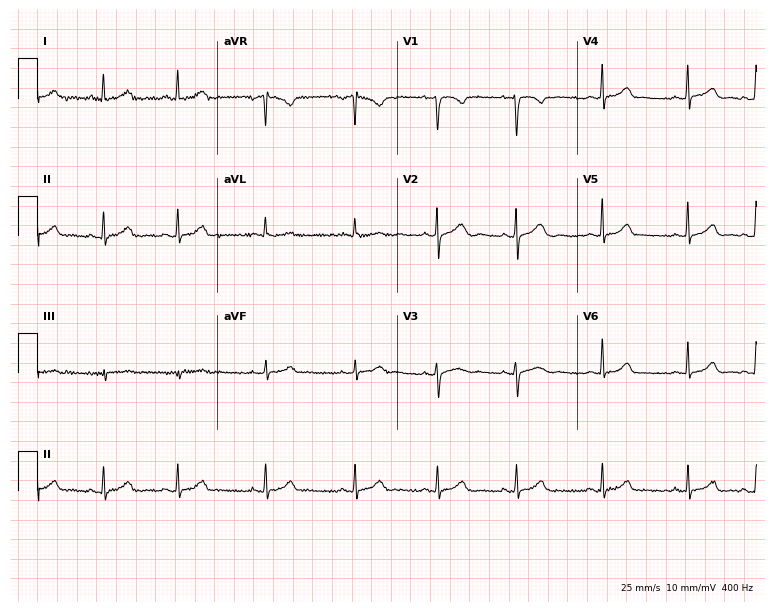
Electrocardiogram, an 18-year-old woman. Overall reading on record: normal ECG.